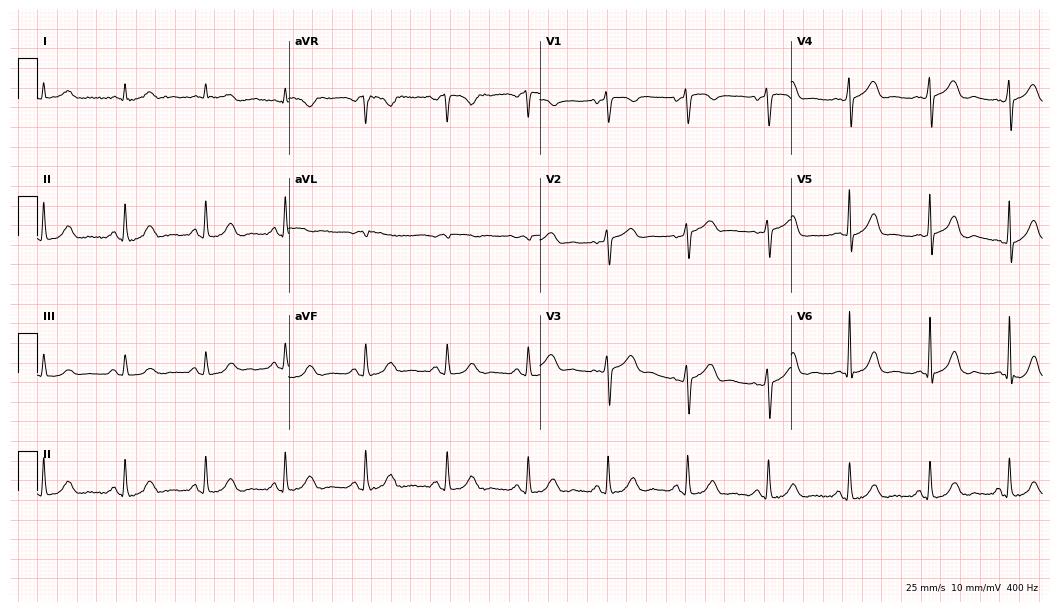
12-lead ECG from an 81-year-old female (10.2-second recording at 400 Hz). Recorded interpretation: within normal limits.